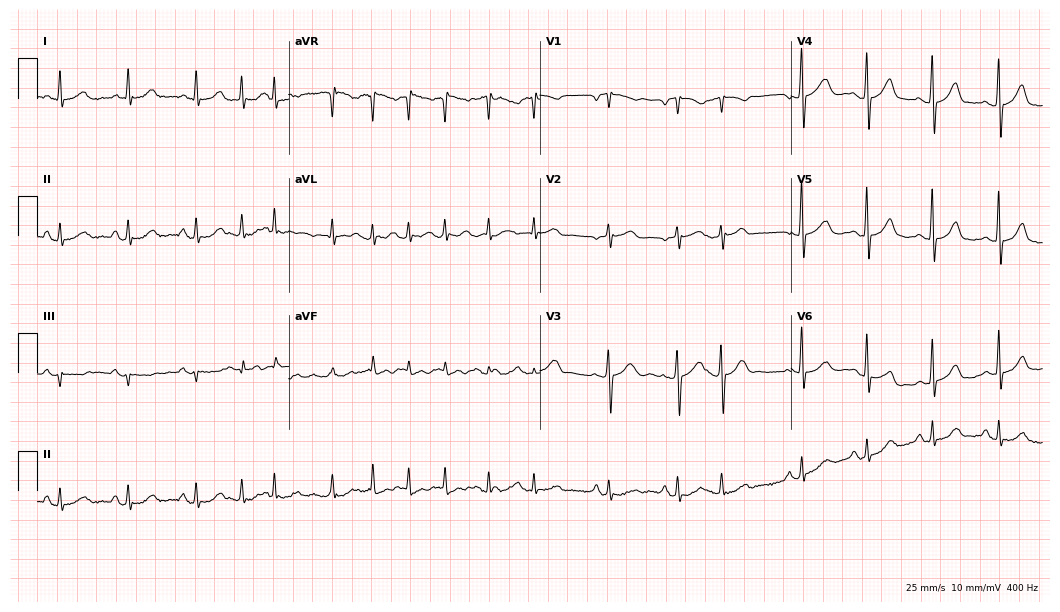
ECG — a female, 70 years old. Findings include atrial fibrillation, sinus tachycardia (a sinus rate of 100 beats per minute or more).